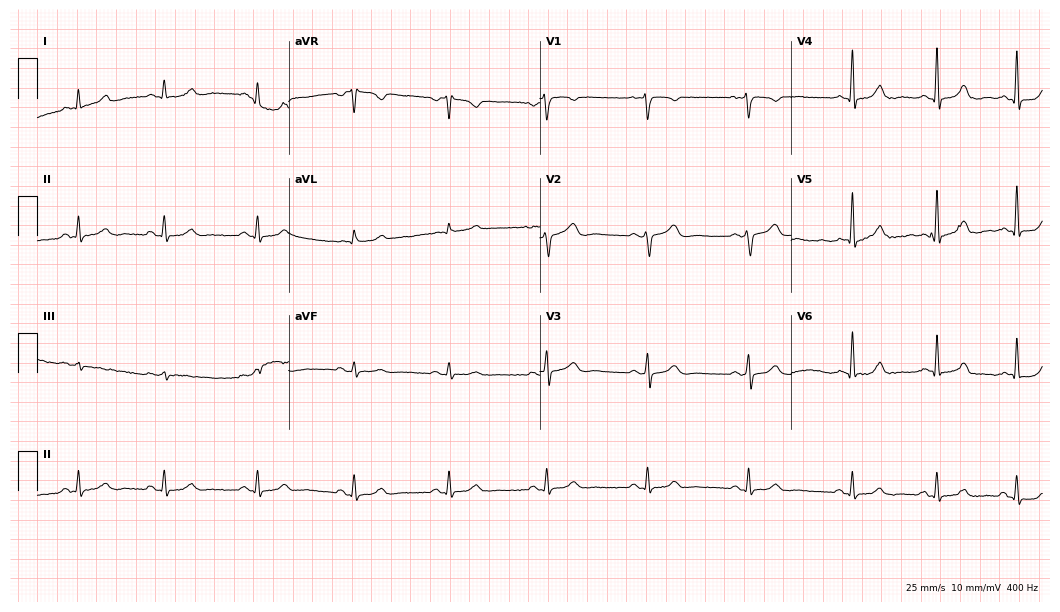
12-lead ECG from a woman, 51 years old. Labelled as a normal ECG.